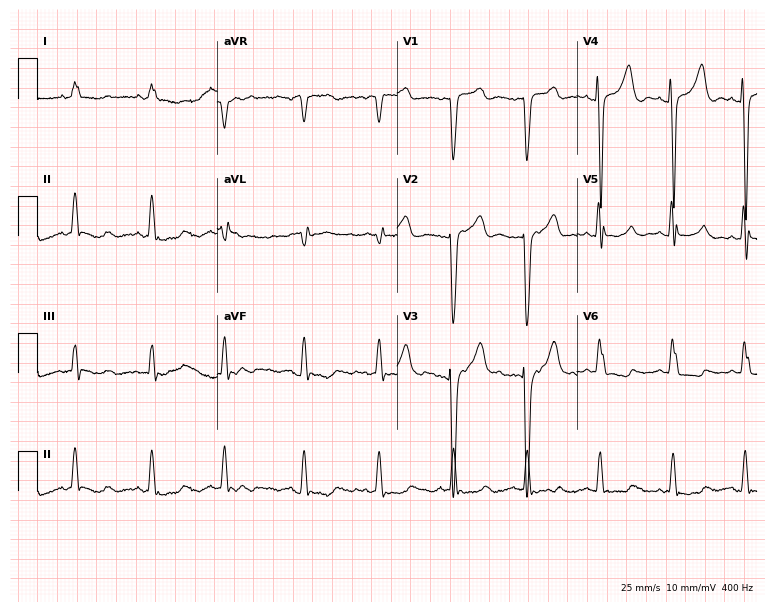
Electrocardiogram, a woman, 75 years old. Of the six screened findings (first-degree AV block, right bundle branch block, left bundle branch block, sinus bradycardia, atrial fibrillation, sinus tachycardia), none is recorded. Only these six findings were labelled.